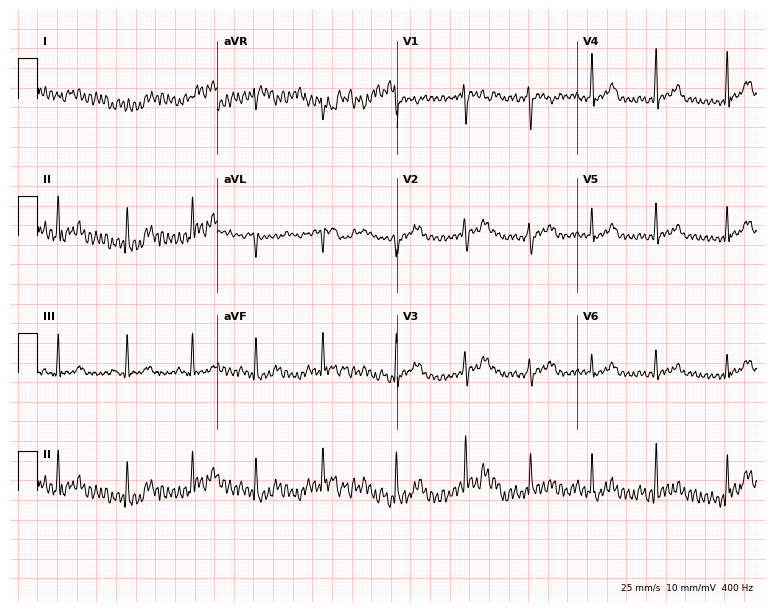
Standard 12-lead ECG recorded from a female patient, 21 years old (7.3-second recording at 400 Hz). None of these six findings is recorded: first-degree AV block, right bundle branch block, left bundle branch block, sinus bradycardia, atrial fibrillation, sinus tachycardia.